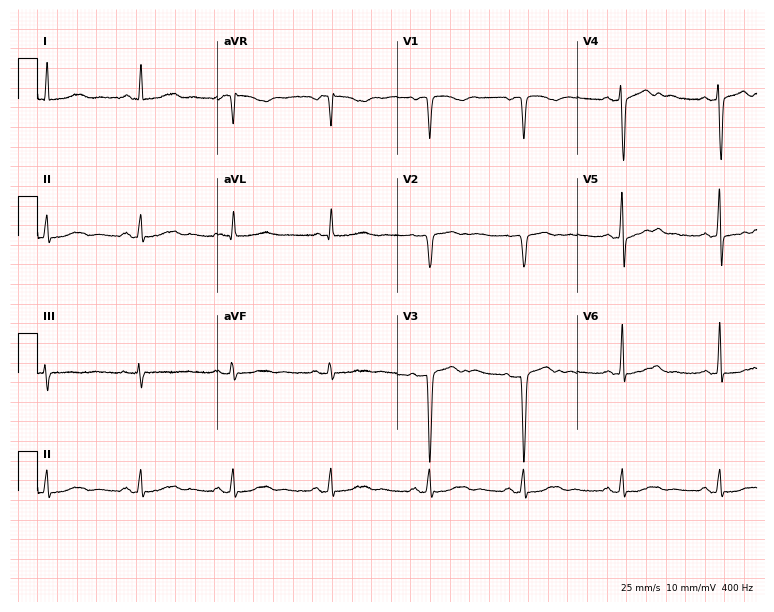
Resting 12-lead electrocardiogram. Patient: a female, 39 years old. None of these six findings is recorded: first-degree AV block, right bundle branch block, left bundle branch block, sinus bradycardia, atrial fibrillation, sinus tachycardia. Other findings, if any, are not listed.